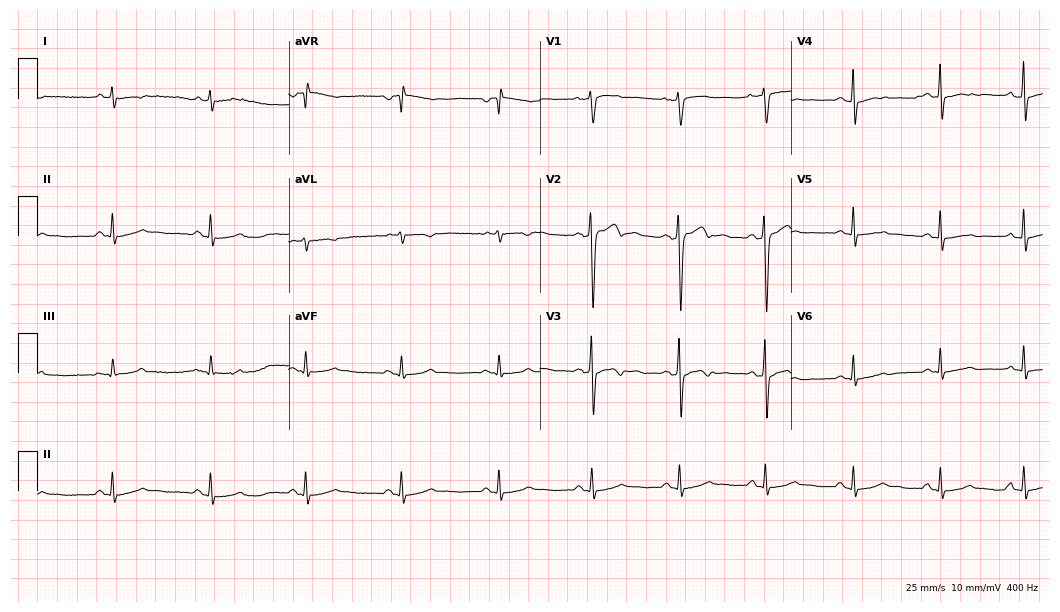
Electrocardiogram (10.2-second recording at 400 Hz), a male patient, 45 years old. Of the six screened findings (first-degree AV block, right bundle branch block (RBBB), left bundle branch block (LBBB), sinus bradycardia, atrial fibrillation (AF), sinus tachycardia), none is recorded. Findings outside these six are not listed.